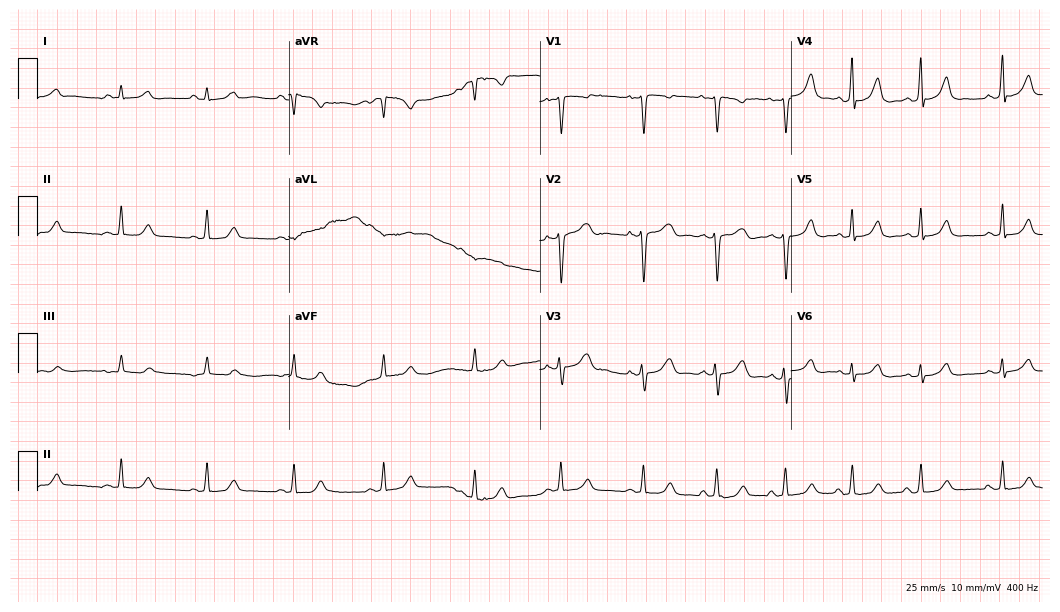
Electrocardiogram, a 20-year-old female patient. Of the six screened findings (first-degree AV block, right bundle branch block, left bundle branch block, sinus bradycardia, atrial fibrillation, sinus tachycardia), none is recorded.